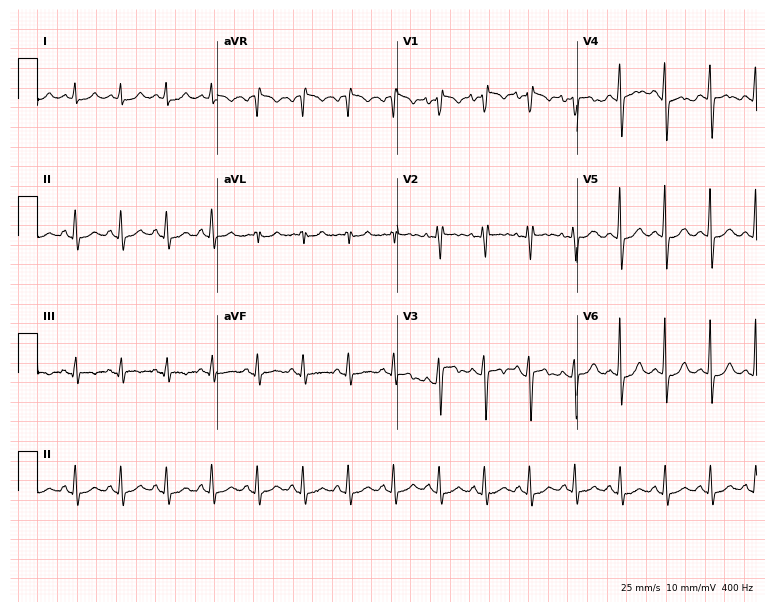
Standard 12-lead ECG recorded from a woman, 23 years old (7.3-second recording at 400 Hz). The tracing shows sinus tachycardia (a sinus rate of 100 beats per minute or more).